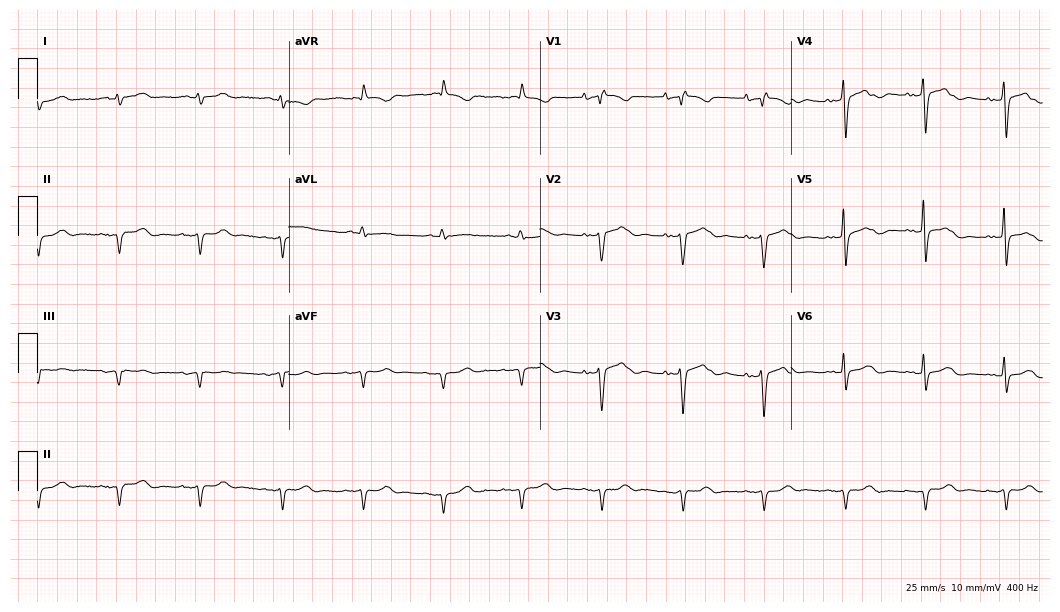
12-lead ECG from a female, 70 years old (10.2-second recording at 400 Hz). No first-degree AV block, right bundle branch block (RBBB), left bundle branch block (LBBB), sinus bradycardia, atrial fibrillation (AF) or sinus tachycardia recorded for this tracing. Other findings, if any, are not listed.